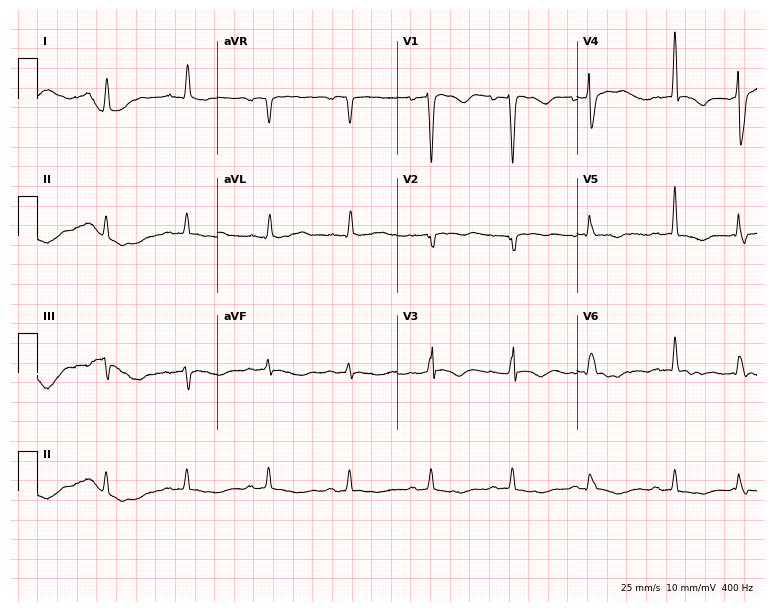
Standard 12-lead ECG recorded from a 71-year-old man. None of these six findings is recorded: first-degree AV block, right bundle branch block, left bundle branch block, sinus bradycardia, atrial fibrillation, sinus tachycardia. Only these six findings were labelled.